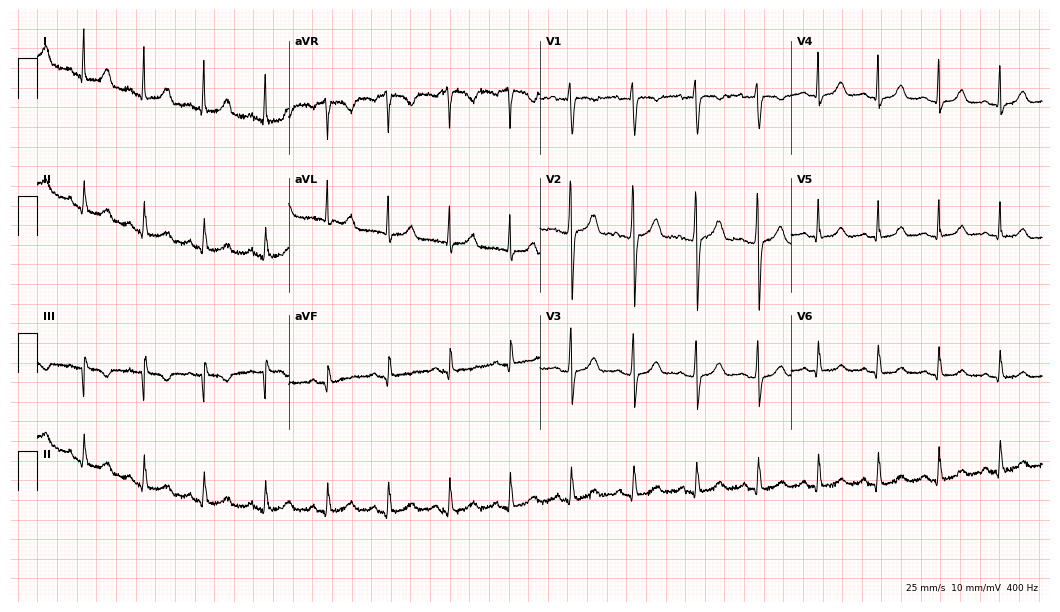
Resting 12-lead electrocardiogram. Patient: a 47-year-old female. Read as a normal ECG.